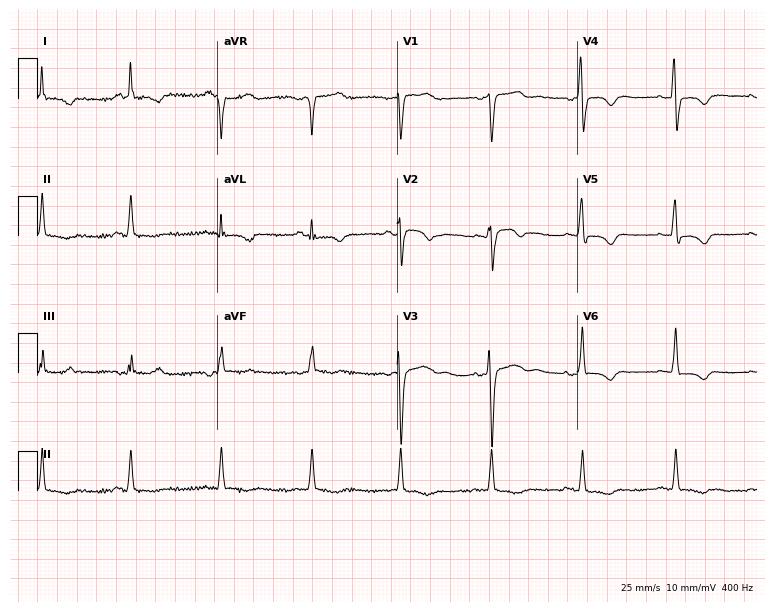
ECG (7.3-second recording at 400 Hz) — a 60-year-old female patient. Screened for six findings — first-degree AV block, right bundle branch block (RBBB), left bundle branch block (LBBB), sinus bradycardia, atrial fibrillation (AF), sinus tachycardia — none is recorded.